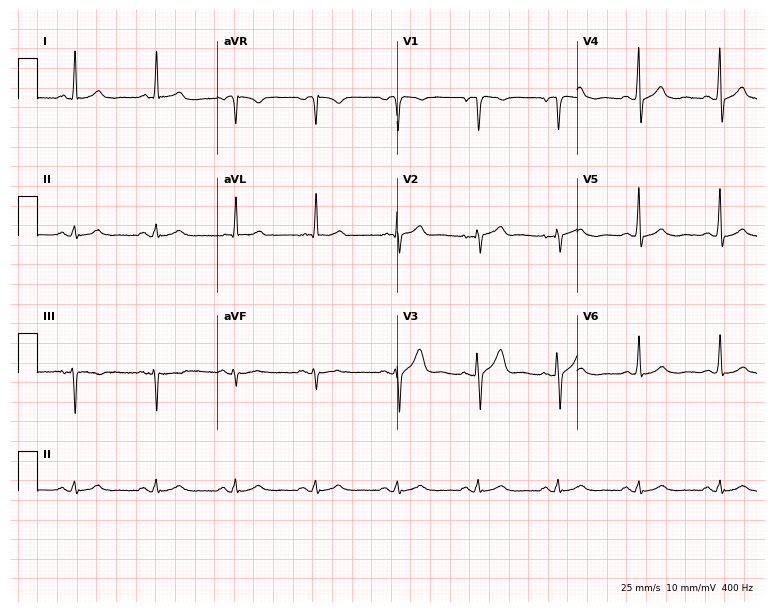
12-lead ECG from a male, 63 years old (7.3-second recording at 400 Hz). Recorded interpretation: within normal limits.